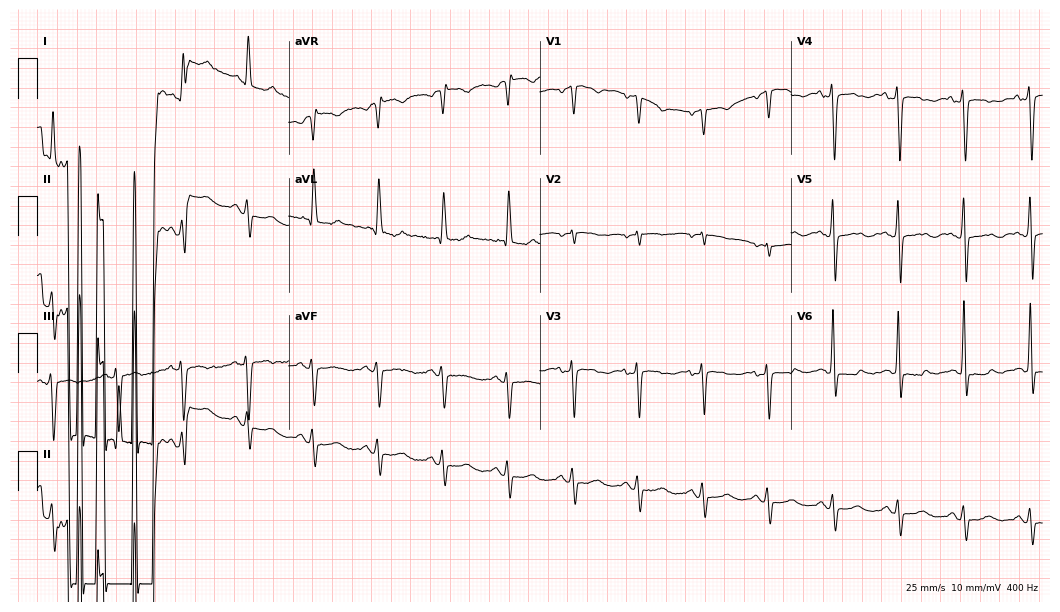
Electrocardiogram (10.2-second recording at 400 Hz), a 78-year-old female. Of the six screened findings (first-degree AV block, right bundle branch block, left bundle branch block, sinus bradycardia, atrial fibrillation, sinus tachycardia), none is recorded. Only these six findings were labelled.